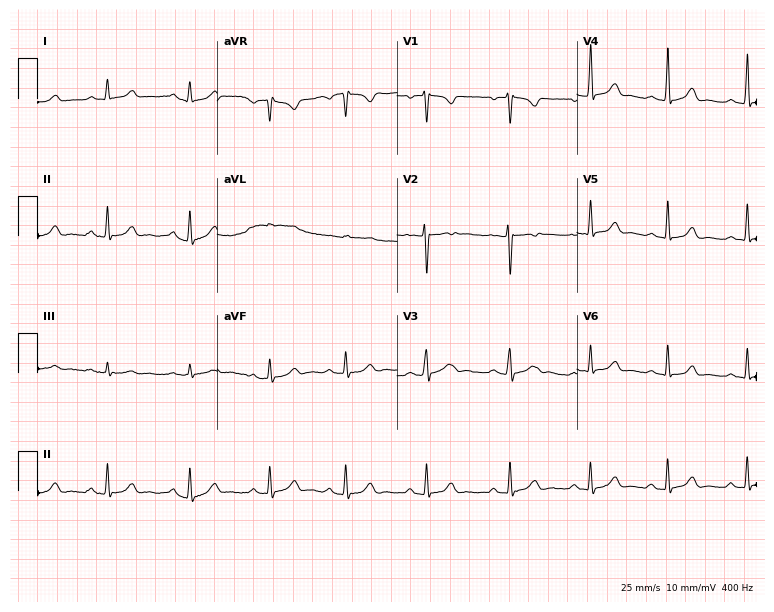
Standard 12-lead ECG recorded from a female patient, 25 years old. None of these six findings is recorded: first-degree AV block, right bundle branch block, left bundle branch block, sinus bradycardia, atrial fibrillation, sinus tachycardia. Findings outside these six are not listed.